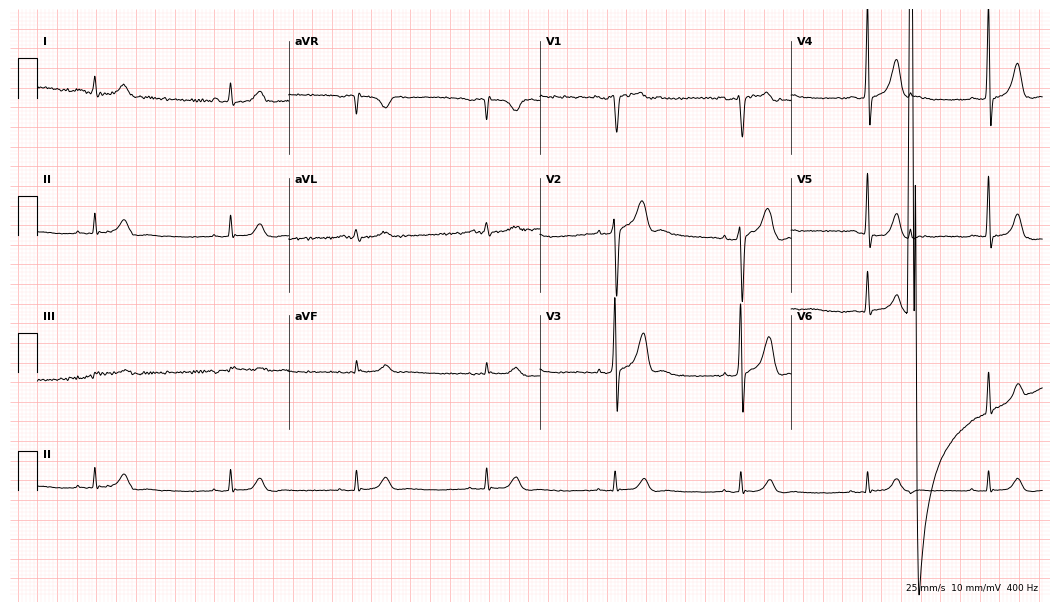
12-lead ECG from a male patient, 36 years old. Recorded interpretation: within normal limits.